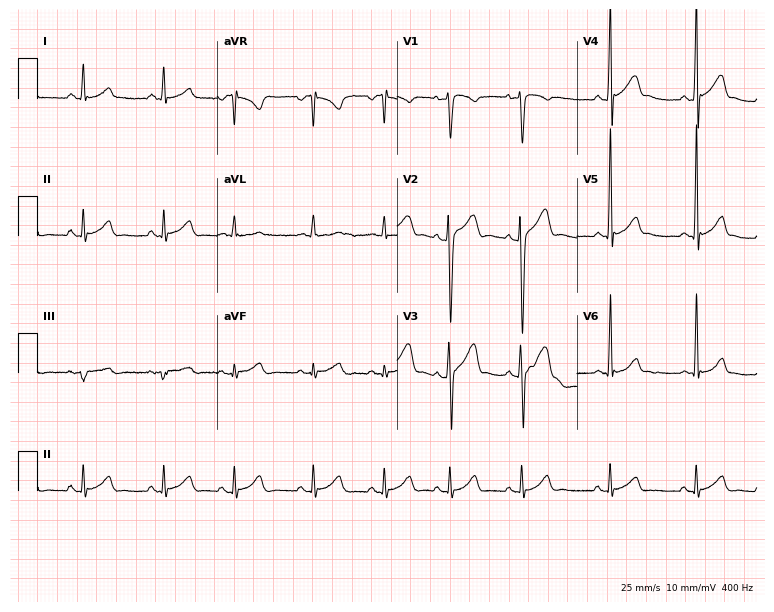
Standard 12-lead ECG recorded from a male, 17 years old. Read as a normal ECG.